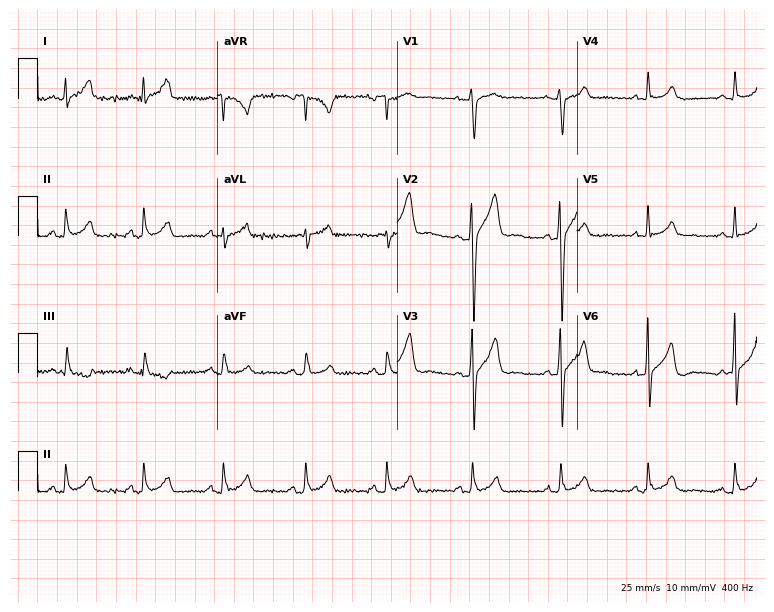
ECG (7.3-second recording at 400 Hz) — a 32-year-old male. Labelled as a normal ECG.